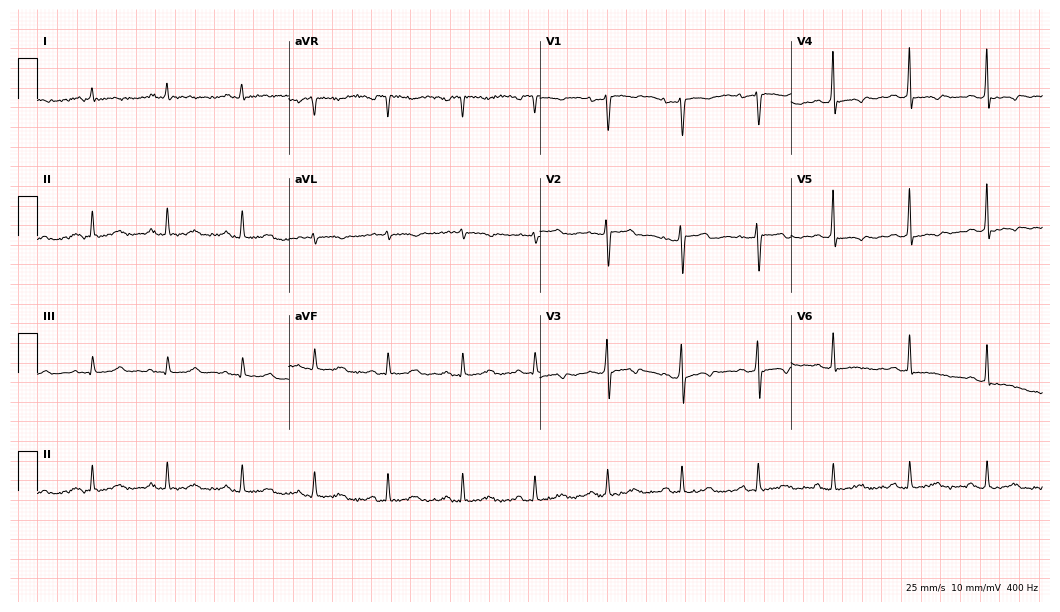
12-lead ECG from a female patient, 46 years old (10.2-second recording at 400 Hz). No first-degree AV block, right bundle branch block (RBBB), left bundle branch block (LBBB), sinus bradycardia, atrial fibrillation (AF) or sinus tachycardia recorded for this tracing.